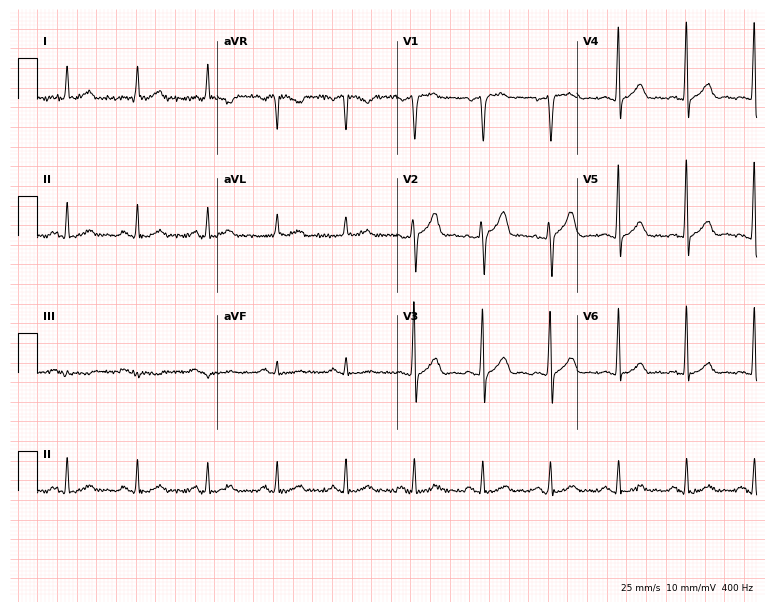
Resting 12-lead electrocardiogram. Patient: a 63-year-old male. Read as a normal ECG.